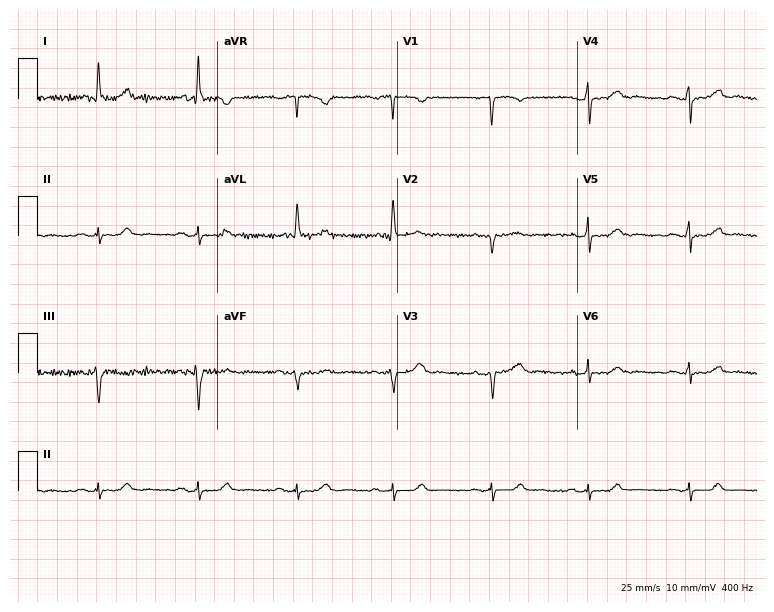
12-lead ECG from a 63-year-old female (7.3-second recording at 400 Hz). No first-degree AV block, right bundle branch block (RBBB), left bundle branch block (LBBB), sinus bradycardia, atrial fibrillation (AF) or sinus tachycardia recorded for this tracing. Other findings, if any, are not listed.